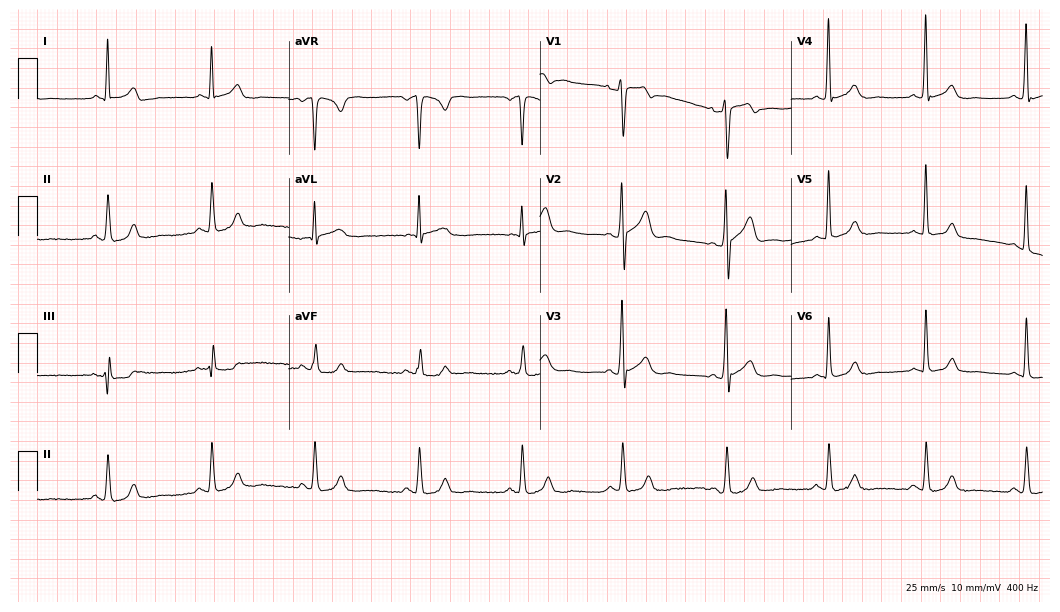
Standard 12-lead ECG recorded from a 36-year-old man. Read as a normal ECG.